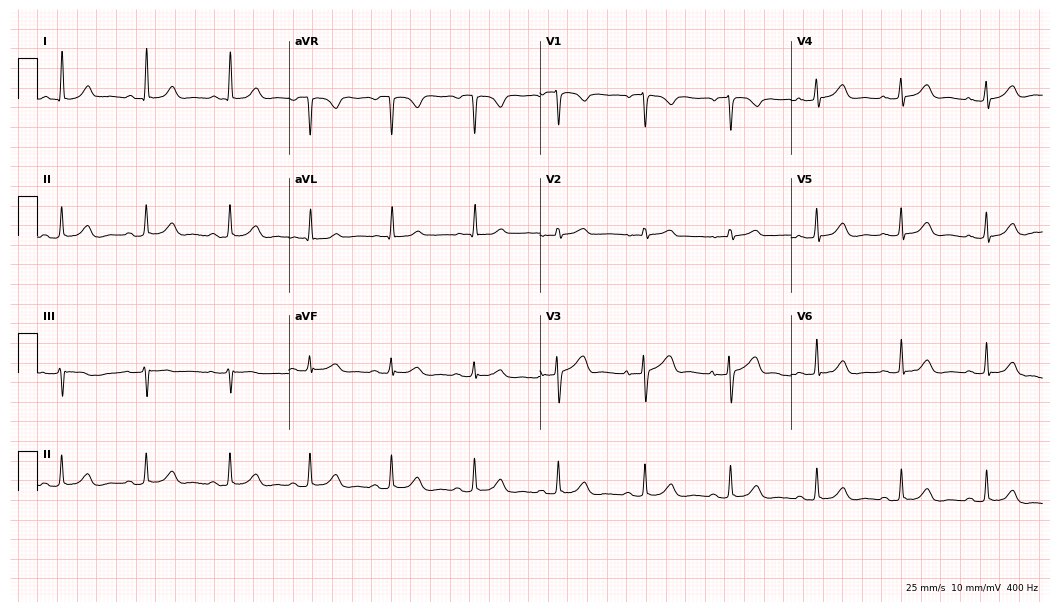
Standard 12-lead ECG recorded from a female, 72 years old. Read as a normal ECG.